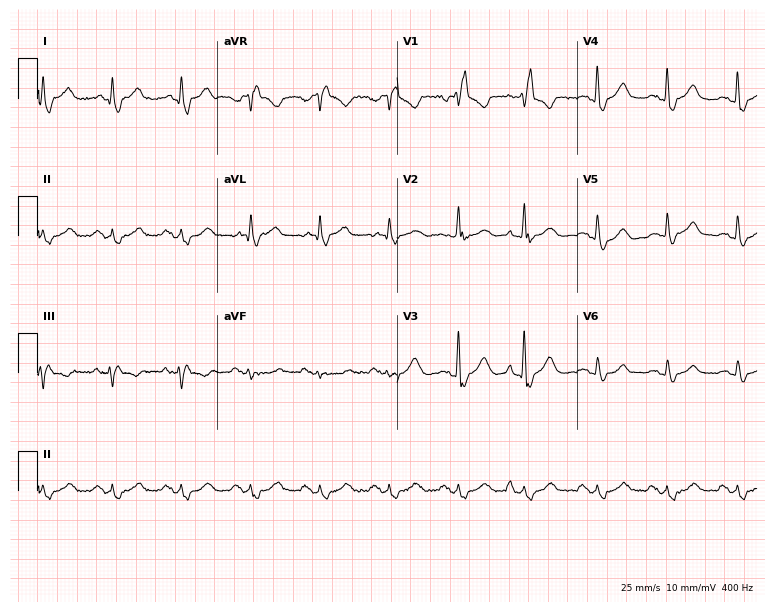
ECG (7.3-second recording at 400 Hz) — a man, 64 years old. Findings include right bundle branch block (RBBB).